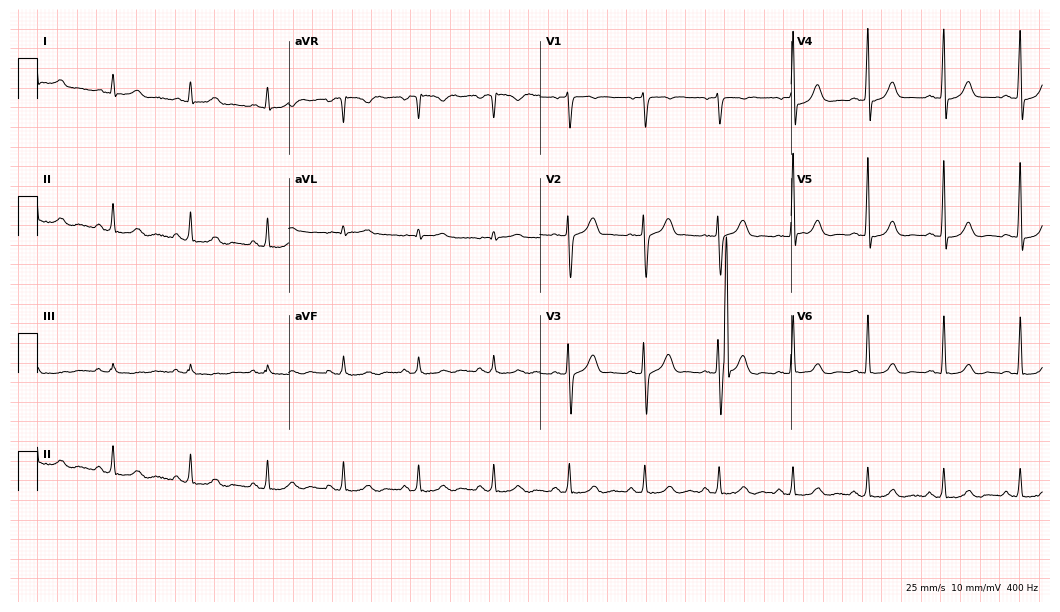
Standard 12-lead ECG recorded from a female, 65 years old. None of these six findings is recorded: first-degree AV block, right bundle branch block, left bundle branch block, sinus bradycardia, atrial fibrillation, sinus tachycardia.